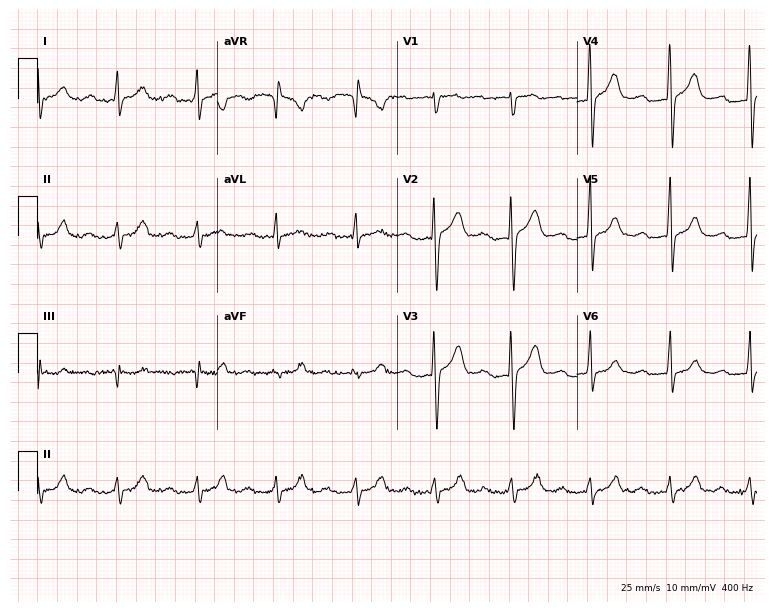
12-lead ECG from a 20-year-old male. Findings include first-degree AV block.